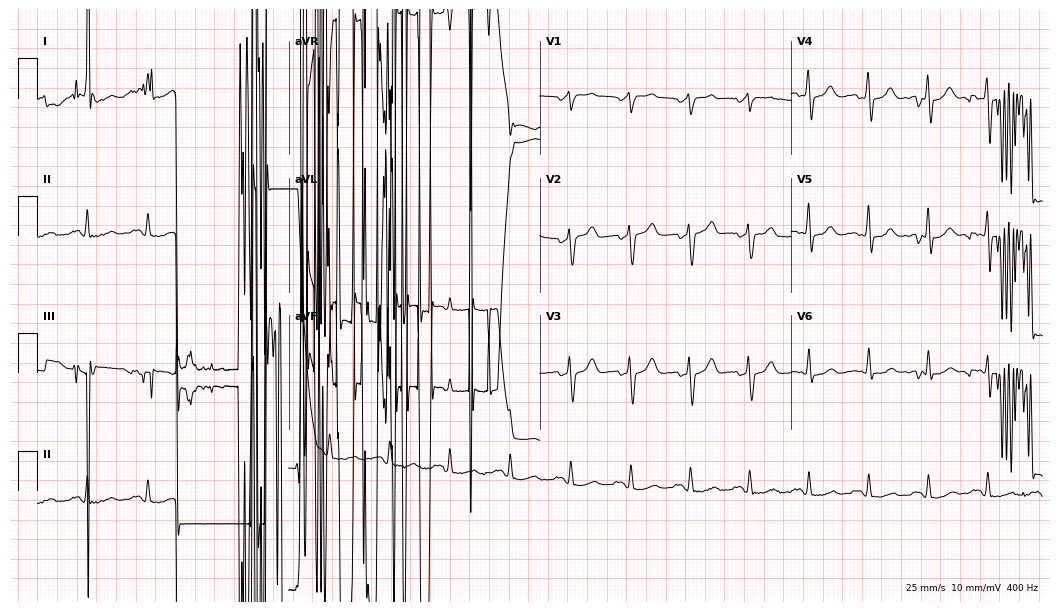
ECG (10.2-second recording at 400 Hz) — a woman, 59 years old. Screened for six findings — first-degree AV block, right bundle branch block, left bundle branch block, sinus bradycardia, atrial fibrillation, sinus tachycardia — none is recorded.